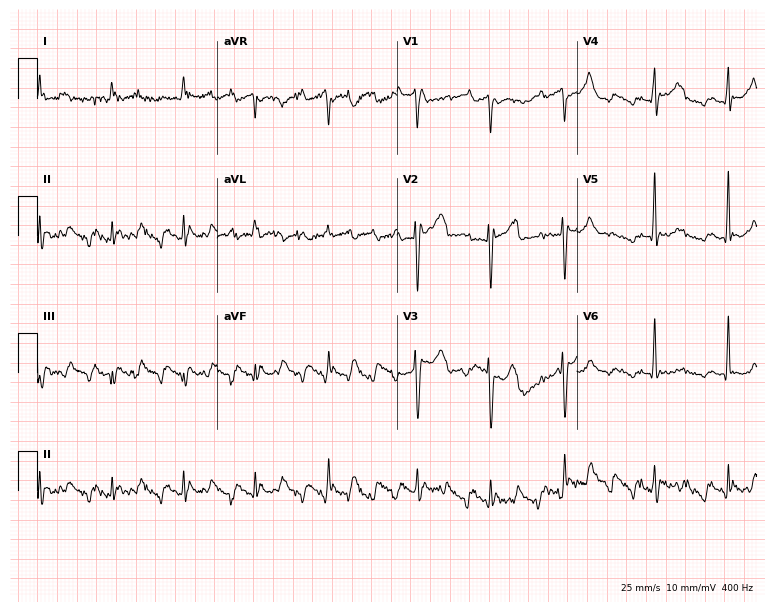
Resting 12-lead electrocardiogram. Patient: an 81-year-old male. None of these six findings is recorded: first-degree AV block, right bundle branch block, left bundle branch block, sinus bradycardia, atrial fibrillation, sinus tachycardia. Other findings, if any, are not listed.